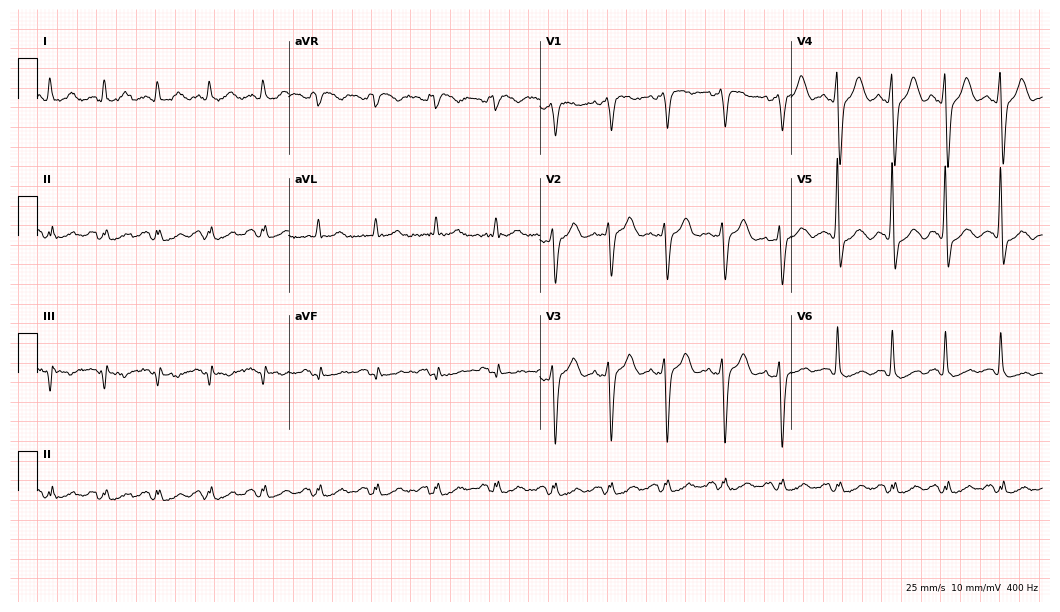
12-lead ECG (10.2-second recording at 400 Hz) from a 60-year-old female patient. Findings include sinus tachycardia (a sinus rate of 100 beats per minute or more).